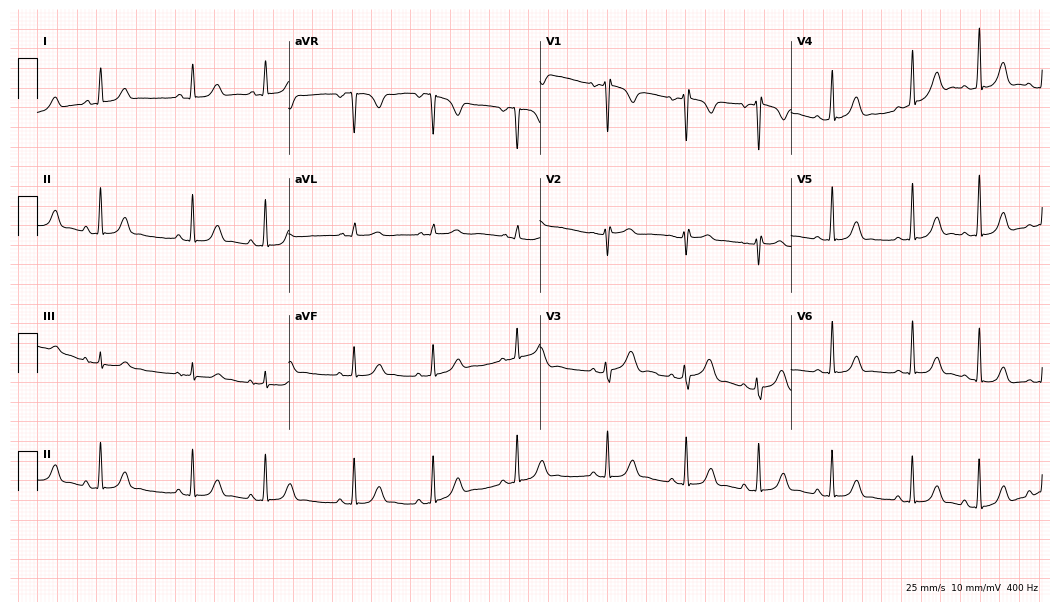
ECG — a 17-year-old female. Screened for six findings — first-degree AV block, right bundle branch block, left bundle branch block, sinus bradycardia, atrial fibrillation, sinus tachycardia — none is recorded.